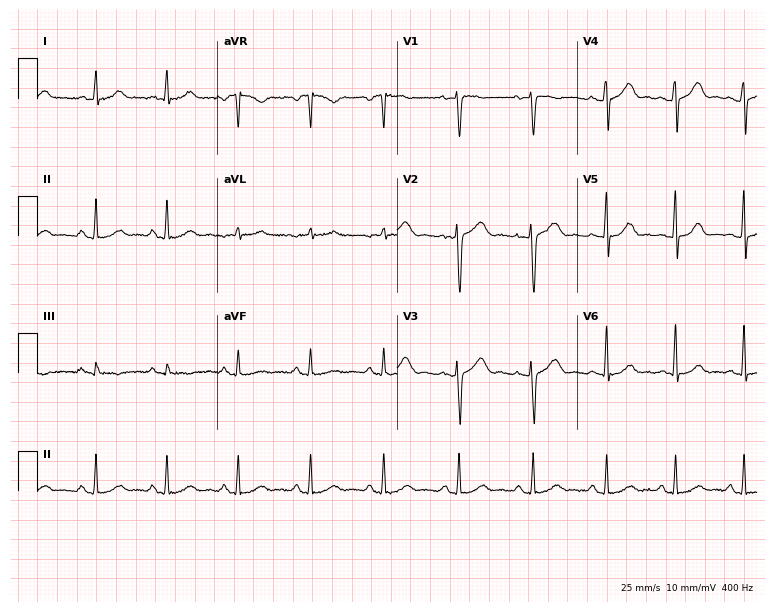
12-lead ECG (7.3-second recording at 400 Hz) from a 43-year-old woman. Screened for six findings — first-degree AV block, right bundle branch block, left bundle branch block, sinus bradycardia, atrial fibrillation, sinus tachycardia — none is recorded. Only these six findings were labelled.